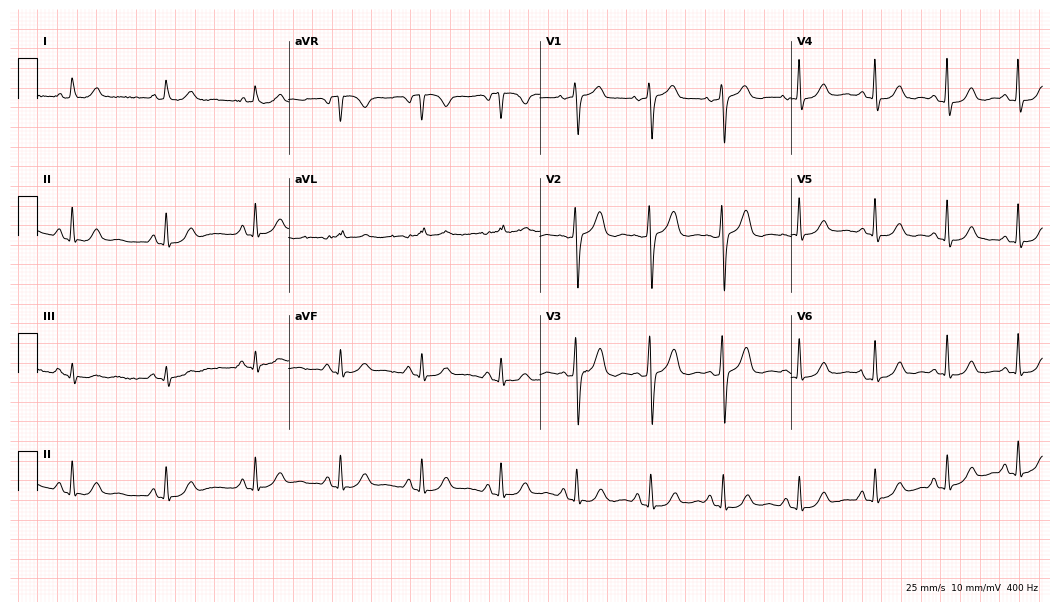
Resting 12-lead electrocardiogram. Patient: a 78-year-old female. Read as a normal ECG.